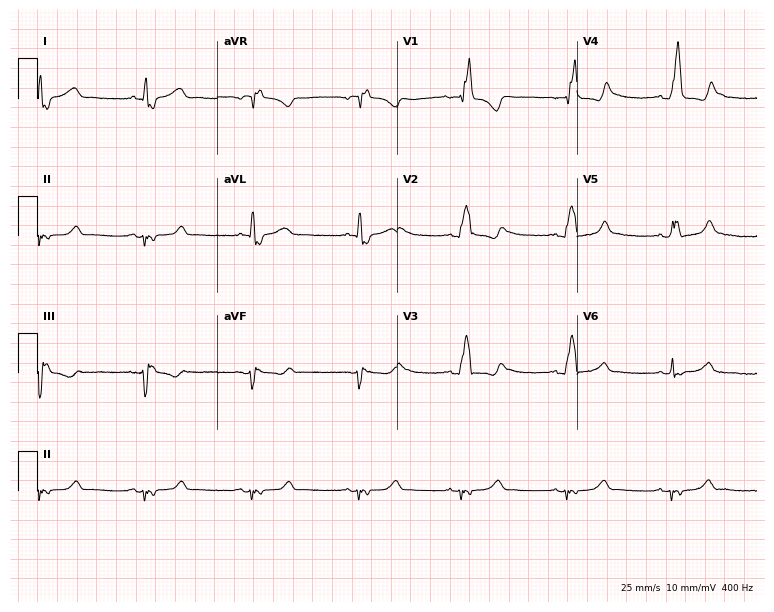
ECG — a 33-year-old female. Findings include right bundle branch block.